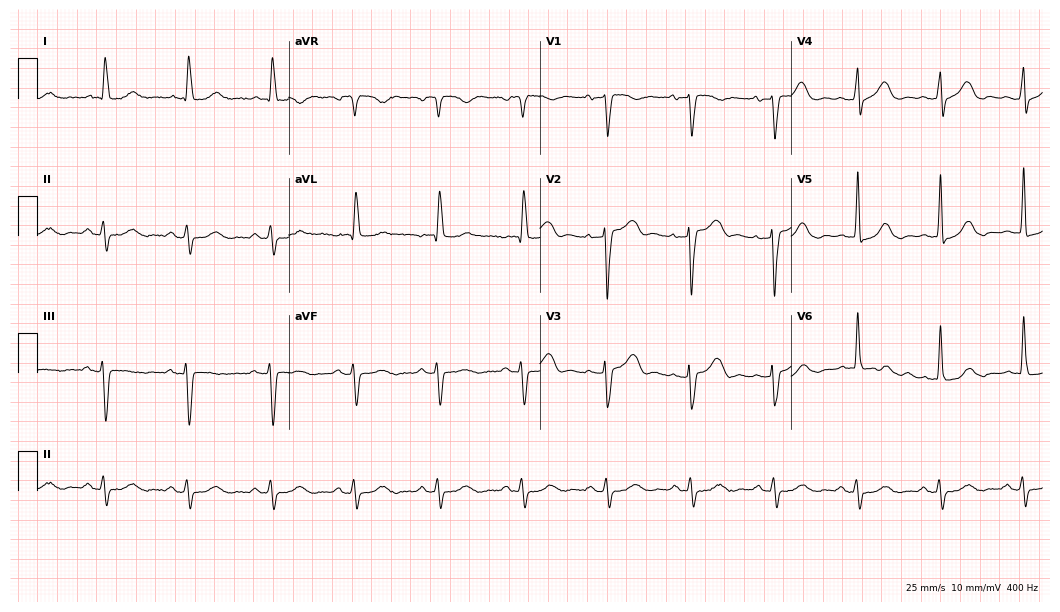
12-lead ECG (10.2-second recording at 400 Hz) from a female, 82 years old. Screened for six findings — first-degree AV block, right bundle branch block, left bundle branch block, sinus bradycardia, atrial fibrillation, sinus tachycardia — none is recorded. Findings outside these six are not listed.